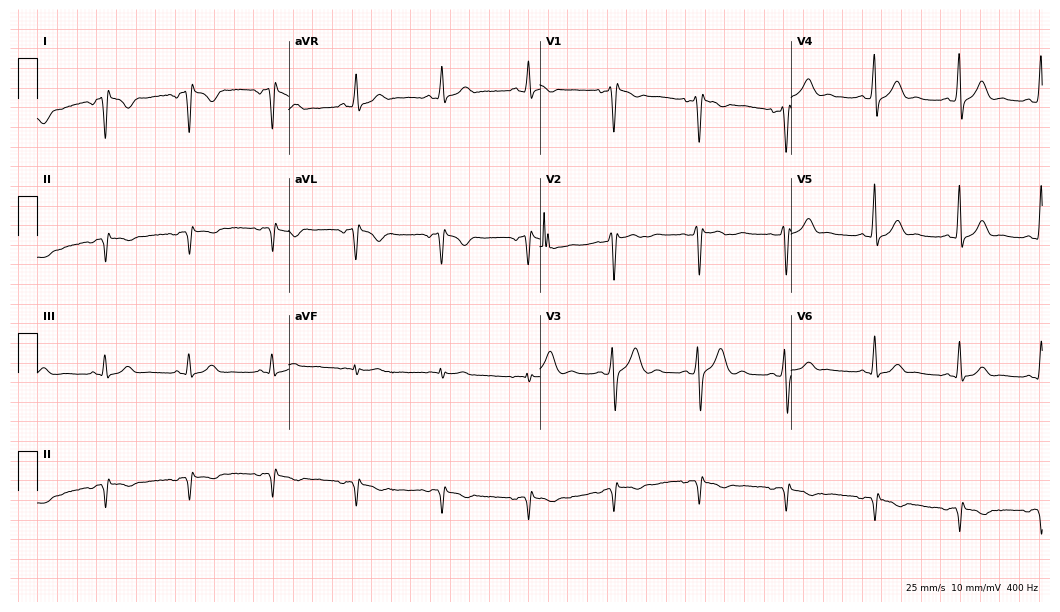
12-lead ECG from a male, 40 years old (10.2-second recording at 400 Hz). No first-degree AV block, right bundle branch block (RBBB), left bundle branch block (LBBB), sinus bradycardia, atrial fibrillation (AF) or sinus tachycardia recorded for this tracing. Only these six findings were labelled.